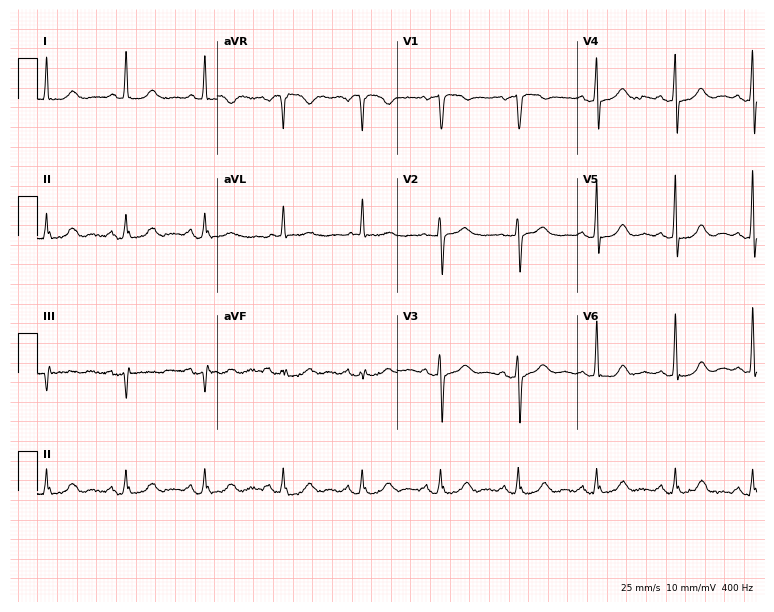
Electrocardiogram, a 71-year-old female patient. Of the six screened findings (first-degree AV block, right bundle branch block, left bundle branch block, sinus bradycardia, atrial fibrillation, sinus tachycardia), none is recorded. Other findings, if any, are not listed.